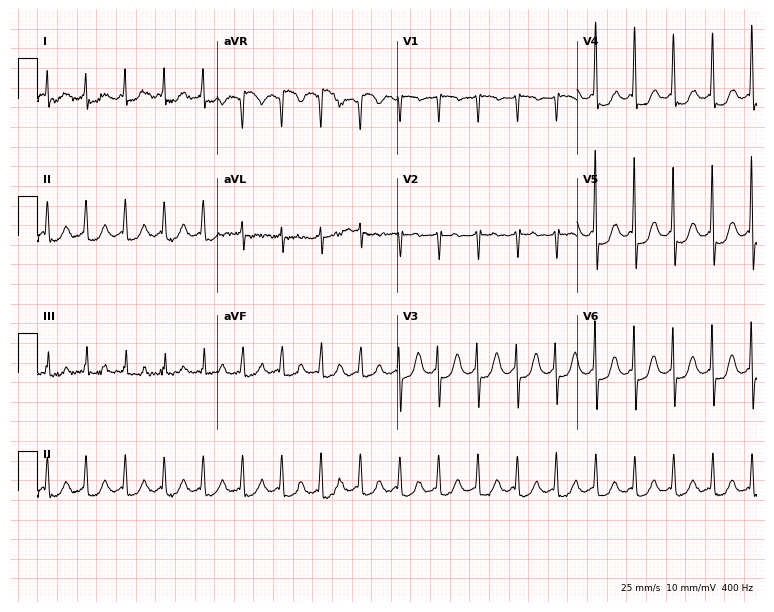
12-lead ECG (7.3-second recording at 400 Hz) from an 83-year-old female. Findings include sinus tachycardia (a sinus rate of 100 beats per minute or more).